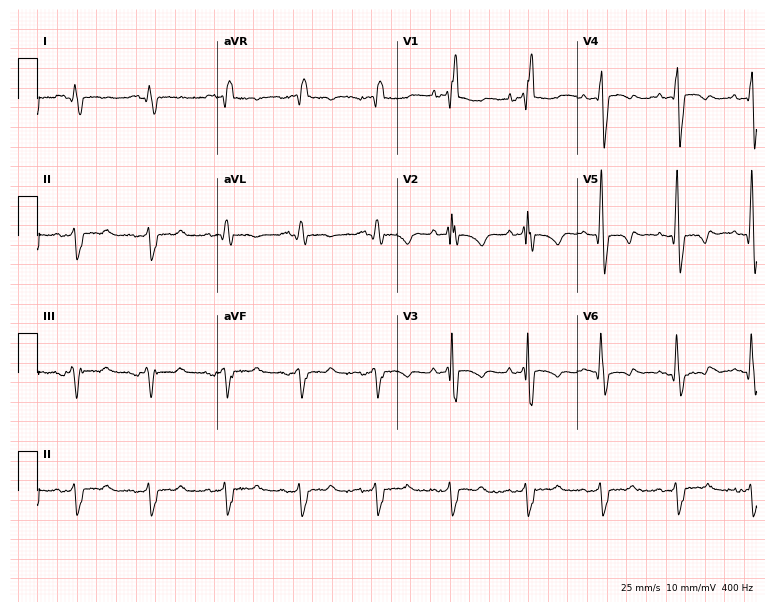
Standard 12-lead ECG recorded from an 82-year-old male. The tracing shows right bundle branch block.